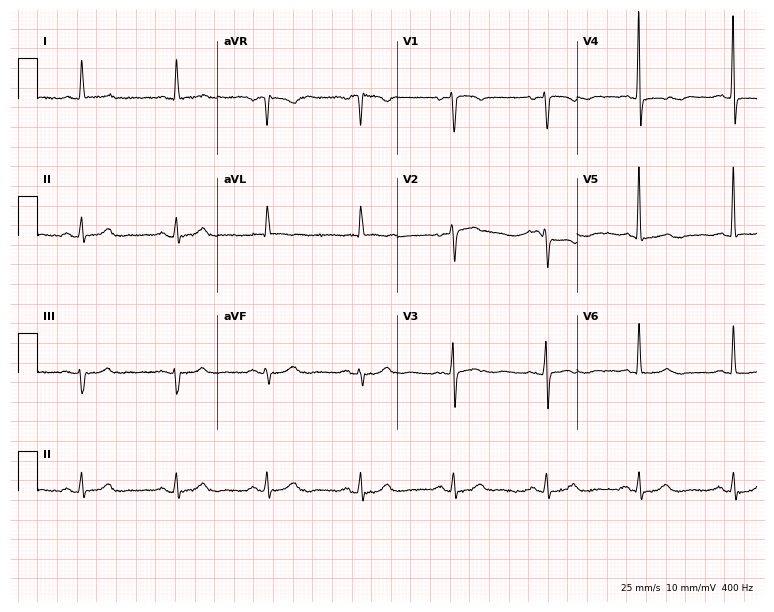
Resting 12-lead electrocardiogram. Patient: a 76-year-old female. None of these six findings is recorded: first-degree AV block, right bundle branch block (RBBB), left bundle branch block (LBBB), sinus bradycardia, atrial fibrillation (AF), sinus tachycardia. Other findings, if any, are not listed.